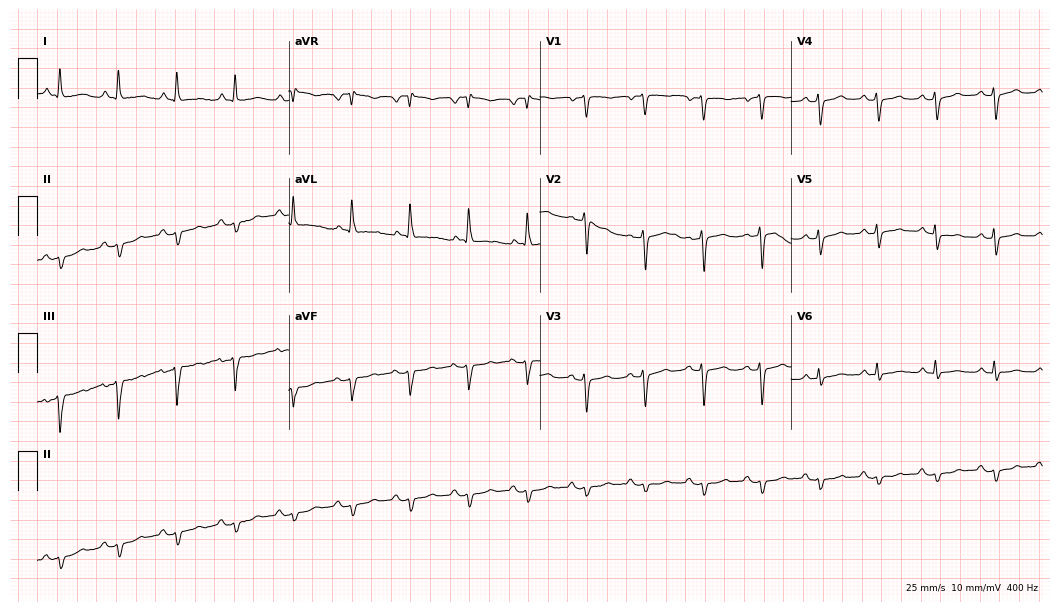
Electrocardiogram, a female, 81 years old. Of the six screened findings (first-degree AV block, right bundle branch block, left bundle branch block, sinus bradycardia, atrial fibrillation, sinus tachycardia), none is recorded.